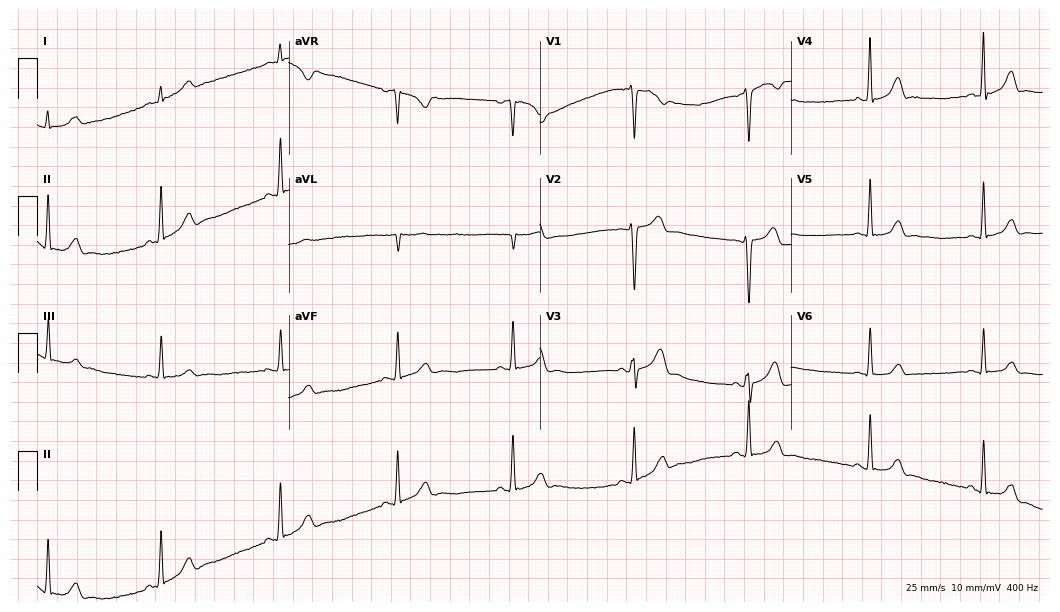
12-lead ECG from a 24-year-old male (10.2-second recording at 400 Hz). Recorded interpretation: within normal limits.